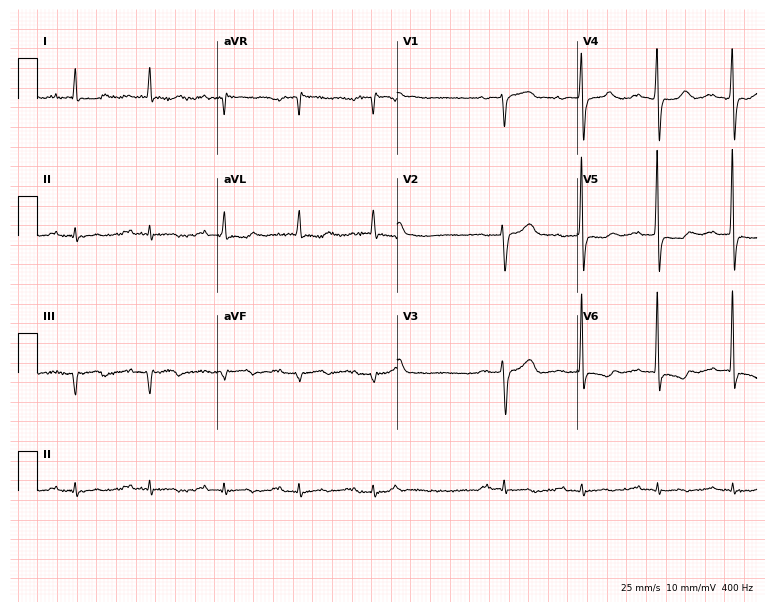
ECG — an 81-year-old male patient. Screened for six findings — first-degree AV block, right bundle branch block (RBBB), left bundle branch block (LBBB), sinus bradycardia, atrial fibrillation (AF), sinus tachycardia — none is recorded.